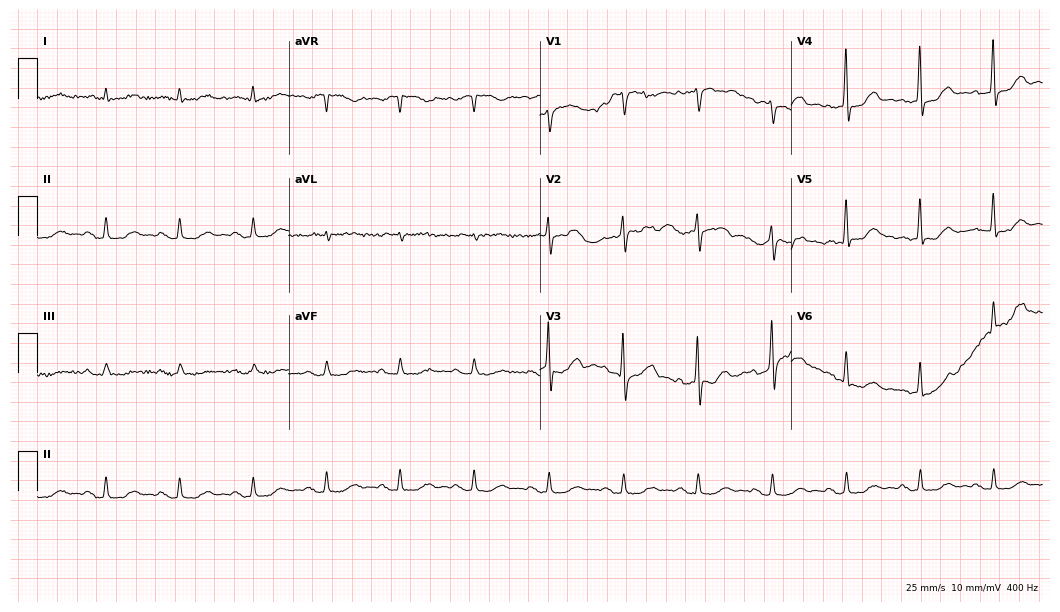
Standard 12-lead ECG recorded from an 82-year-old male patient. None of these six findings is recorded: first-degree AV block, right bundle branch block, left bundle branch block, sinus bradycardia, atrial fibrillation, sinus tachycardia.